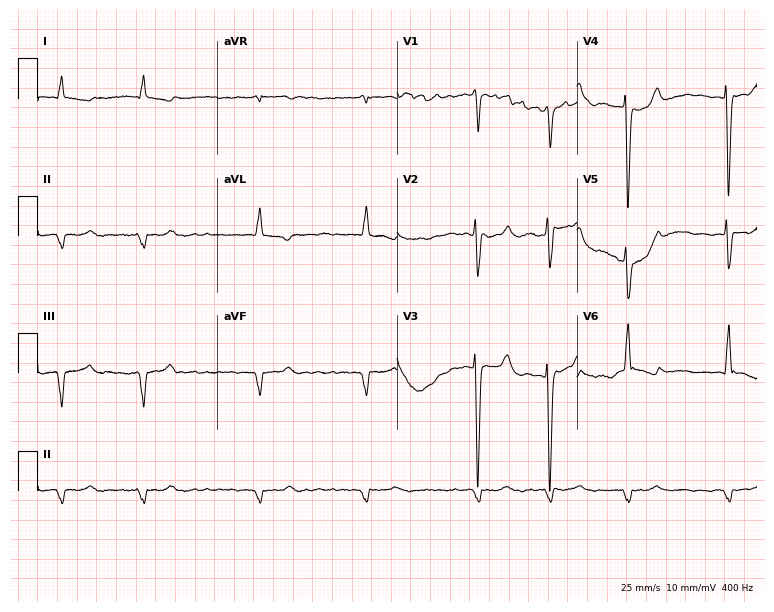
12-lead ECG from a 75-year-old man (7.3-second recording at 400 Hz). Shows first-degree AV block, atrial fibrillation.